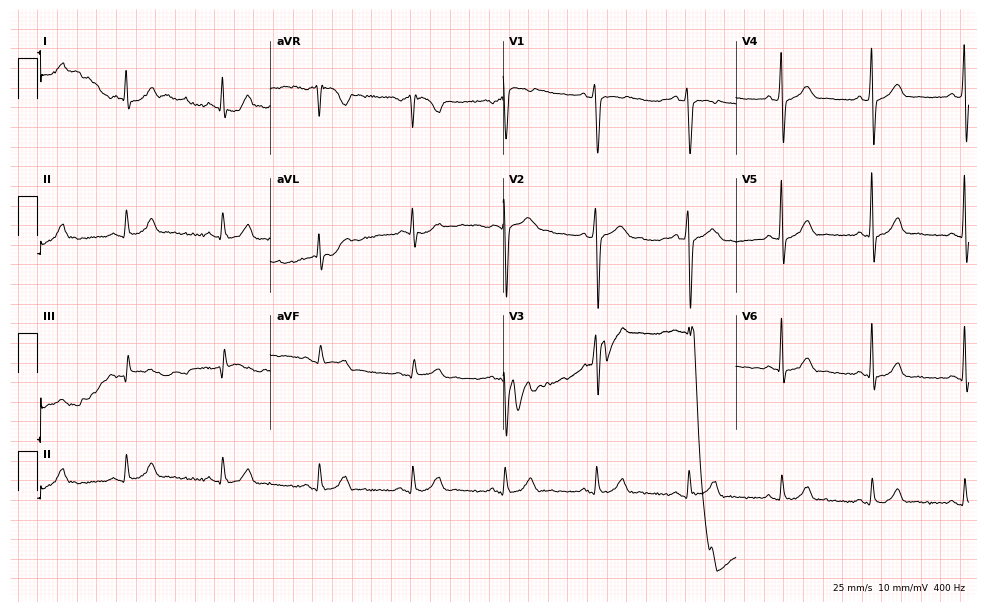
12-lead ECG from a man, 42 years old. Recorded interpretation: within normal limits.